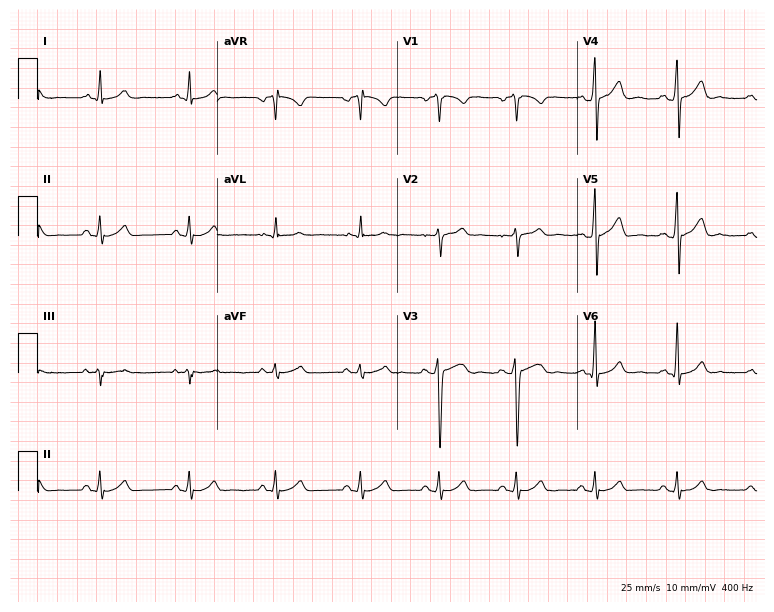
Electrocardiogram (7.3-second recording at 400 Hz), a male patient, 33 years old. Overall reading on record: normal ECG.